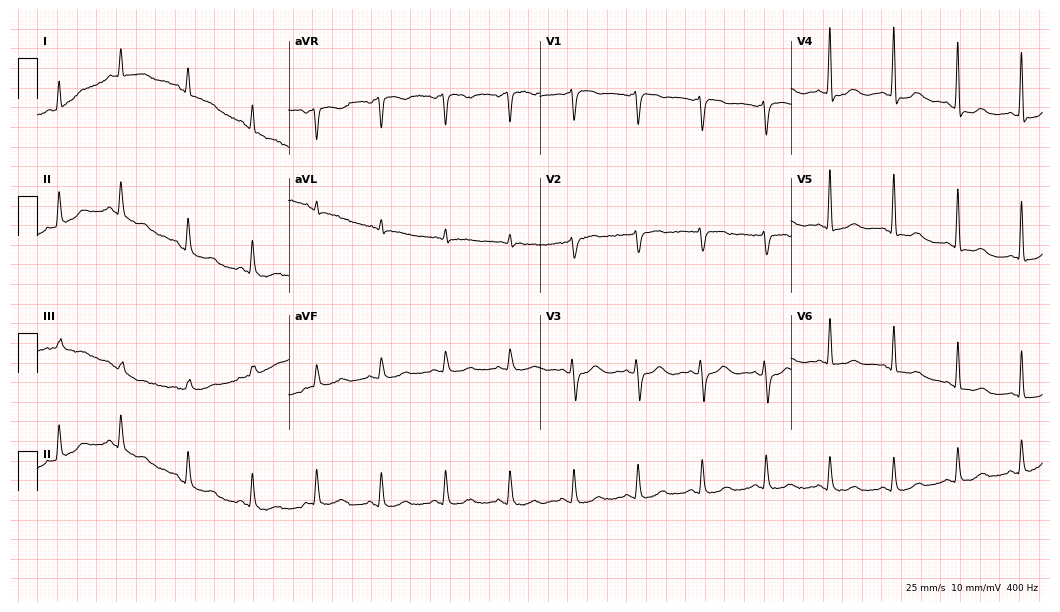
Electrocardiogram (10.2-second recording at 400 Hz), a female, 67 years old. Of the six screened findings (first-degree AV block, right bundle branch block, left bundle branch block, sinus bradycardia, atrial fibrillation, sinus tachycardia), none is recorded. Other findings, if any, are not listed.